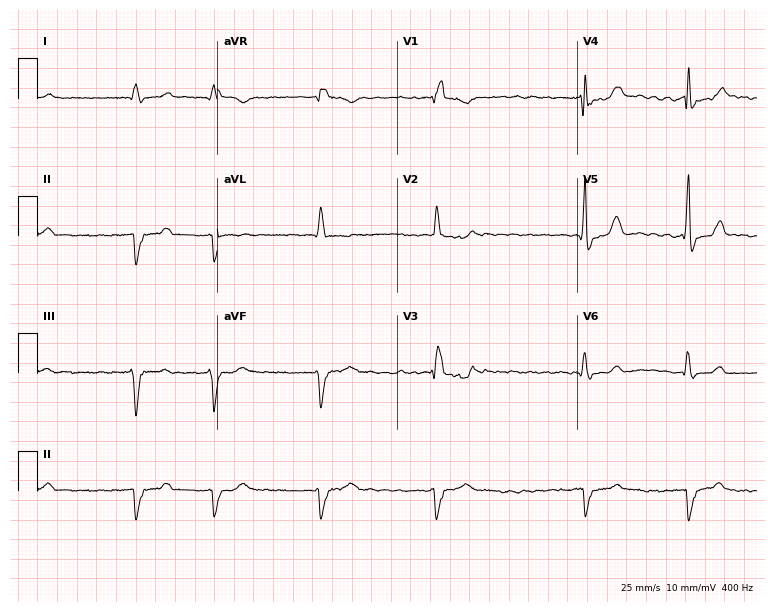
Resting 12-lead electrocardiogram. Patient: a male, 81 years old. The tracing shows right bundle branch block, atrial fibrillation.